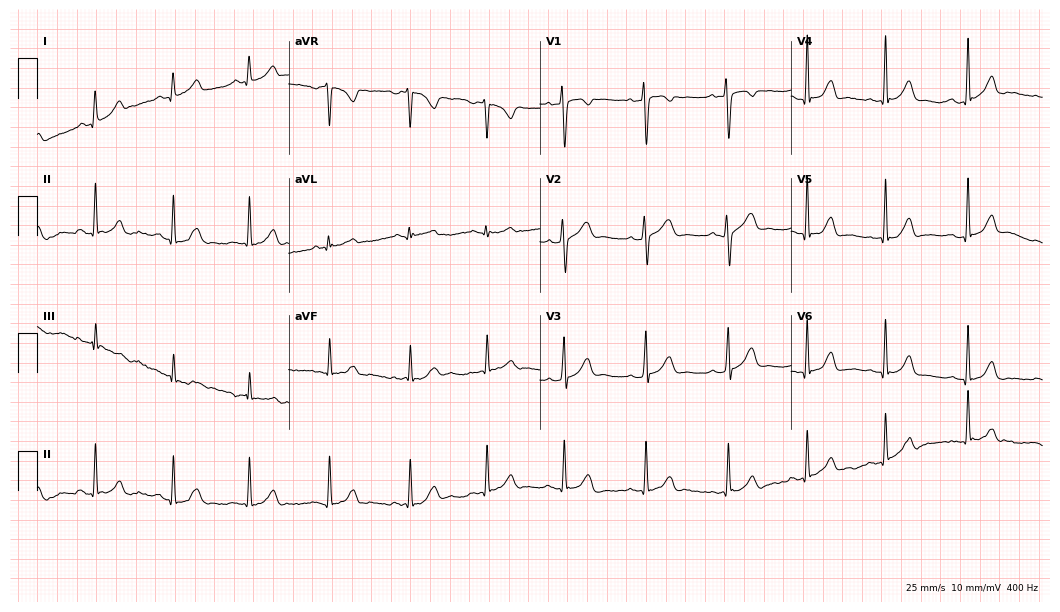
Standard 12-lead ECG recorded from a female, 22 years old (10.2-second recording at 400 Hz). None of these six findings is recorded: first-degree AV block, right bundle branch block (RBBB), left bundle branch block (LBBB), sinus bradycardia, atrial fibrillation (AF), sinus tachycardia.